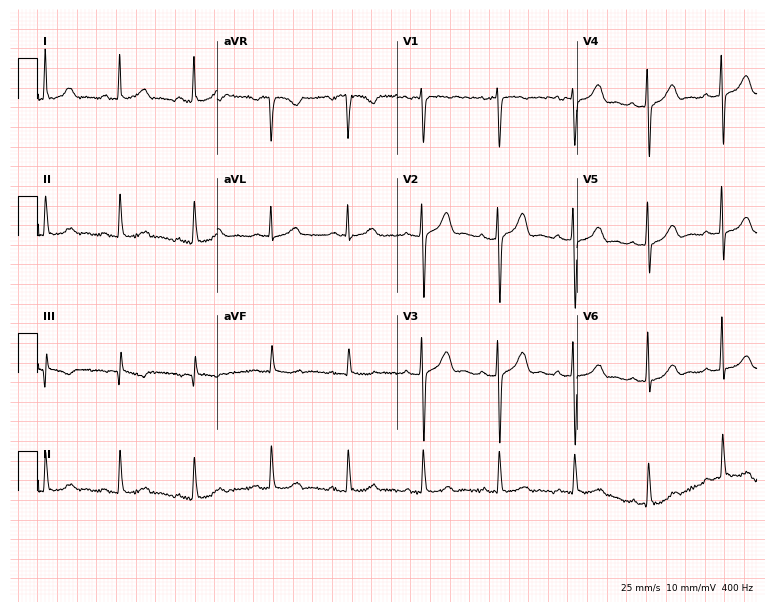
ECG — a 40-year-old woman. Screened for six findings — first-degree AV block, right bundle branch block (RBBB), left bundle branch block (LBBB), sinus bradycardia, atrial fibrillation (AF), sinus tachycardia — none is recorded.